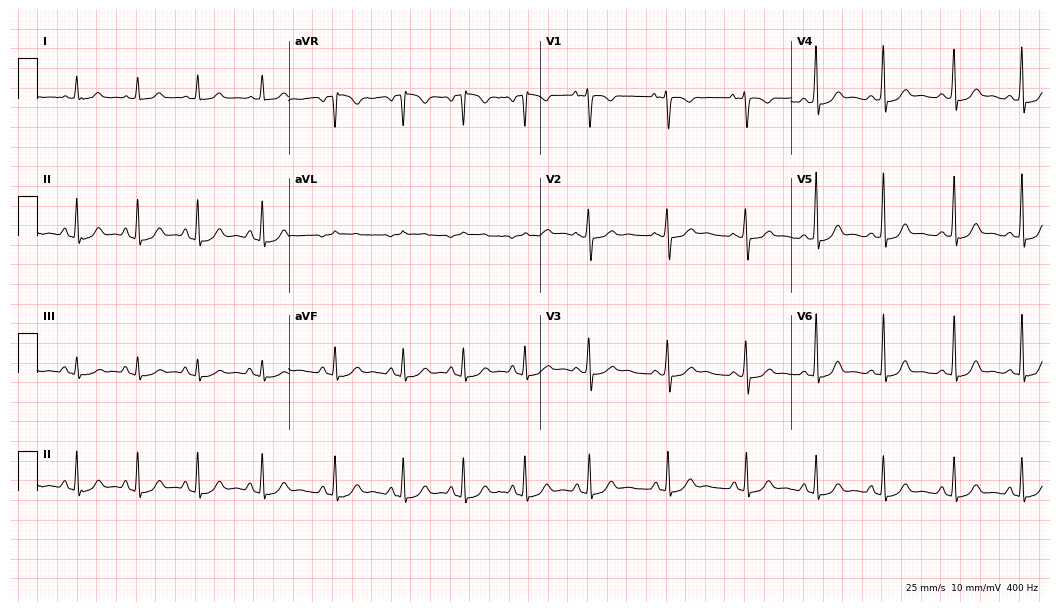
Electrocardiogram (10.2-second recording at 400 Hz), a female, 19 years old. Overall reading on record: normal ECG.